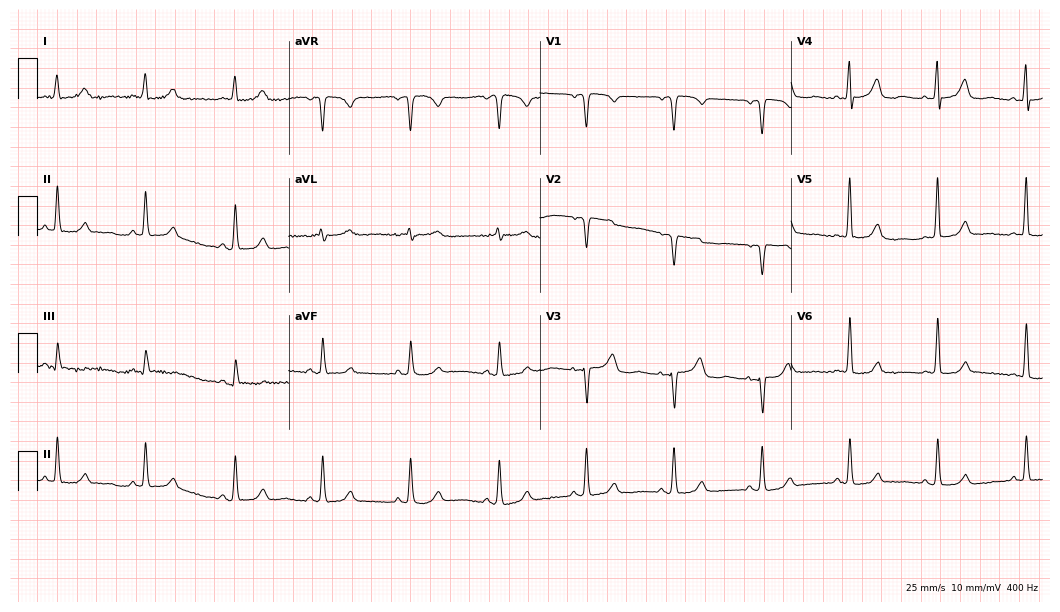
Resting 12-lead electrocardiogram. Patient: a female, 84 years old. Read as a normal ECG.